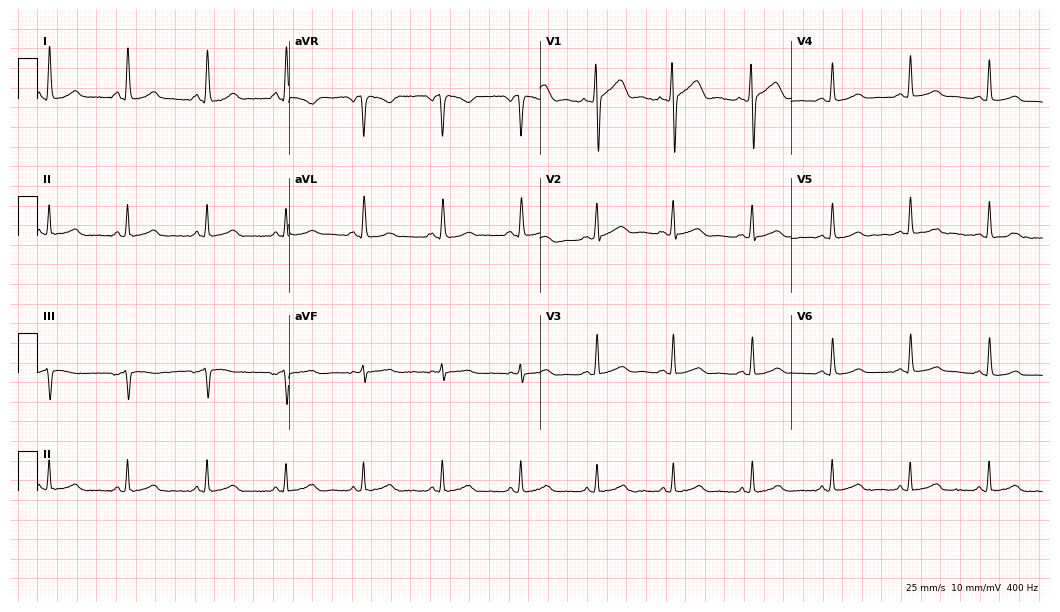
Standard 12-lead ECG recorded from a female patient, 30 years old (10.2-second recording at 400 Hz). Read as a normal ECG.